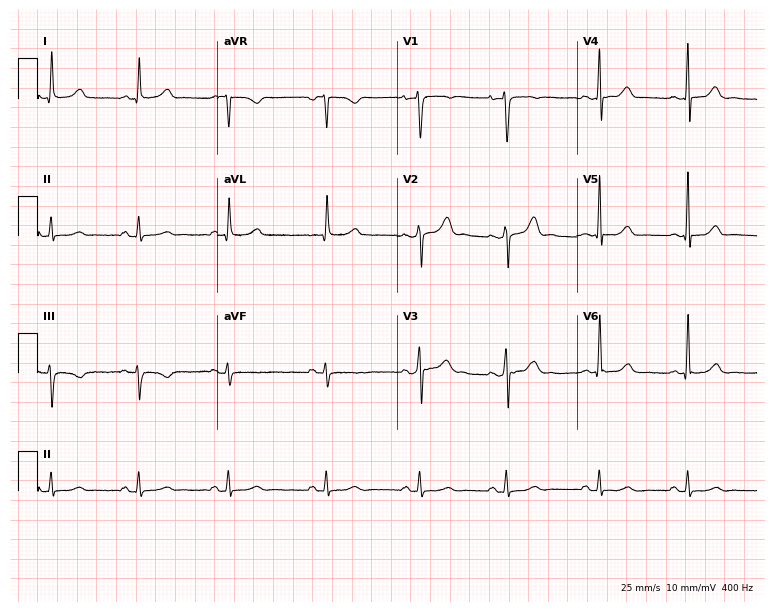
Electrocardiogram, a 40-year-old woman. Overall reading on record: normal ECG.